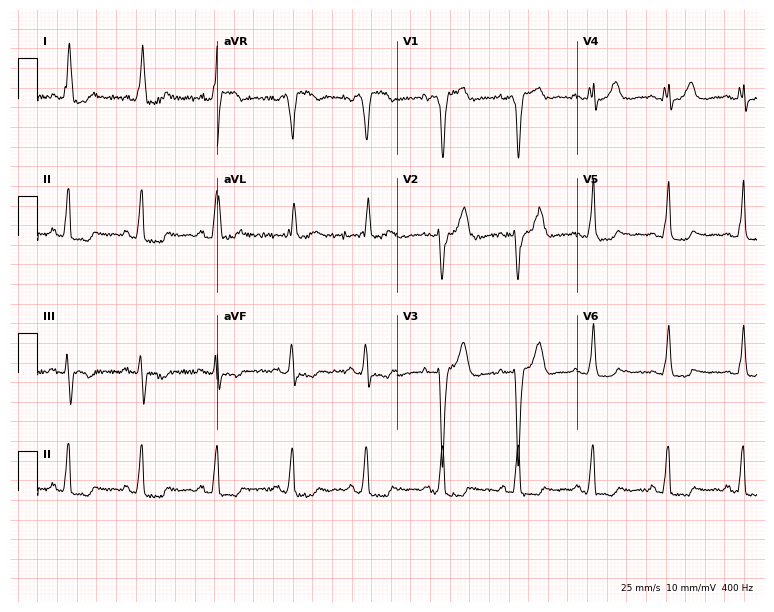
Electrocardiogram (7.3-second recording at 400 Hz), a woman, 65 years old. Of the six screened findings (first-degree AV block, right bundle branch block (RBBB), left bundle branch block (LBBB), sinus bradycardia, atrial fibrillation (AF), sinus tachycardia), none is recorded. Only these six findings were labelled.